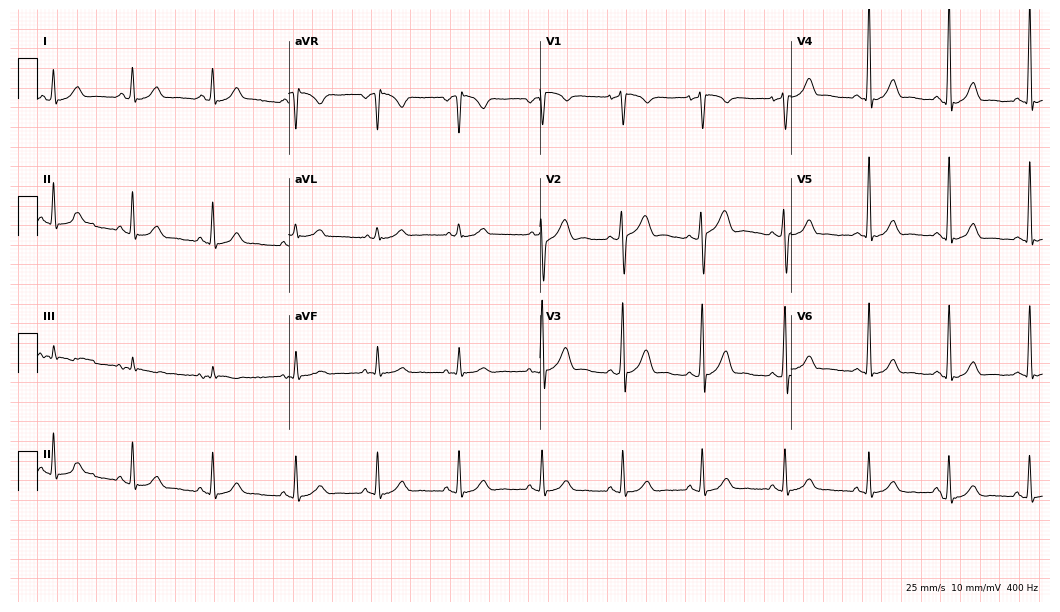
Standard 12-lead ECG recorded from a male patient, 47 years old (10.2-second recording at 400 Hz). None of these six findings is recorded: first-degree AV block, right bundle branch block, left bundle branch block, sinus bradycardia, atrial fibrillation, sinus tachycardia.